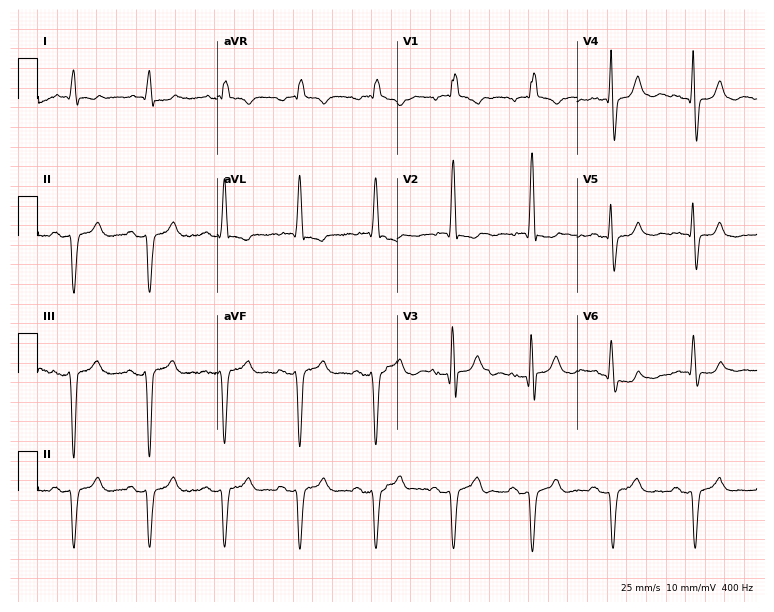
ECG (7.3-second recording at 400 Hz) — a 79-year-old male. Screened for six findings — first-degree AV block, right bundle branch block (RBBB), left bundle branch block (LBBB), sinus bradycardia, atrial fibrillation (AF), sinus tachycardia — none is recorded.